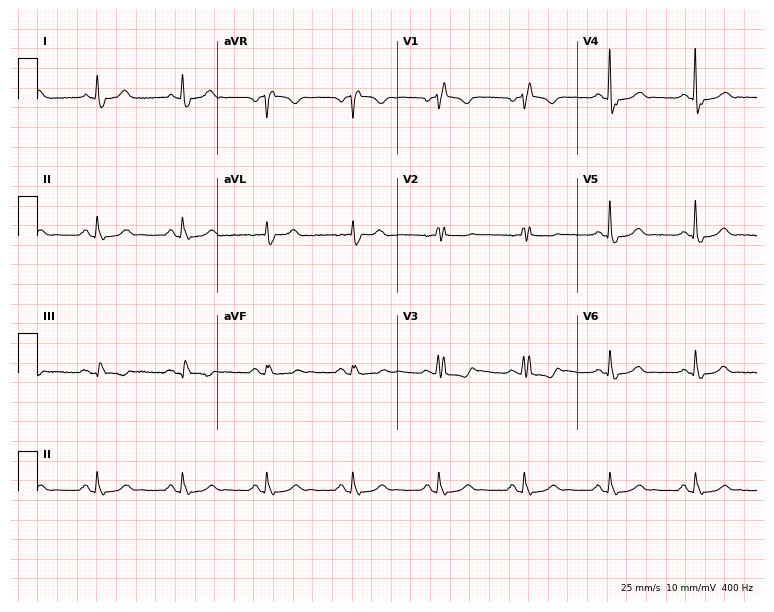
ECG (7.3-second recording at 400 Hz) — an 82-year-old female. Screened for six findings — first-degree AV block, right bundle branch block, left bundle branch block, sinus bradycardia, atrial fibrillation, sinus tachycardia — none is recorded.